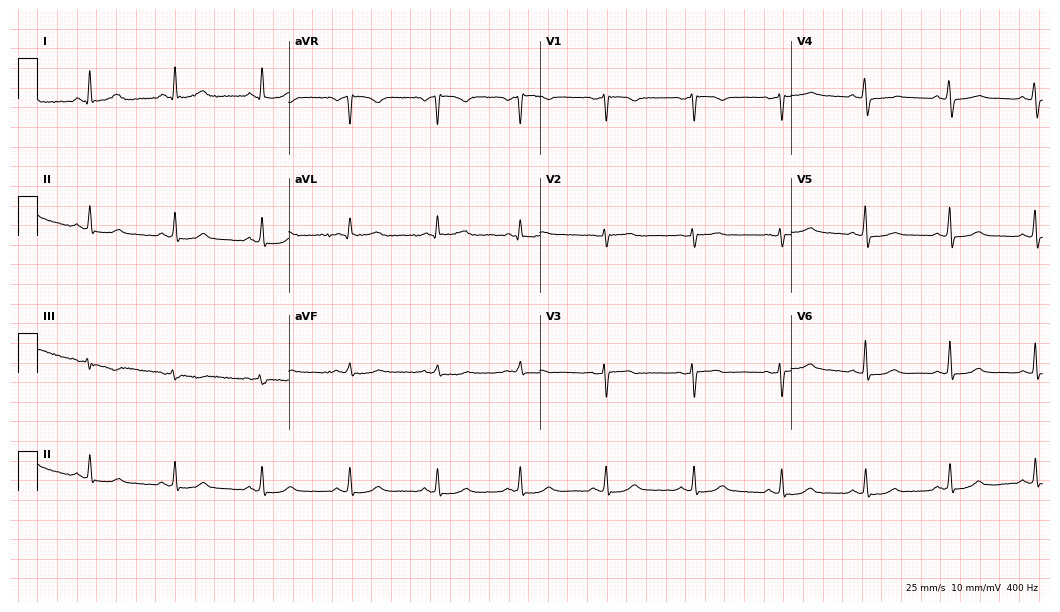
12-lead ECG from a 51-year-old woman (10.2-second recording at 400 Hz). Recorded interpretation: within normal limits.